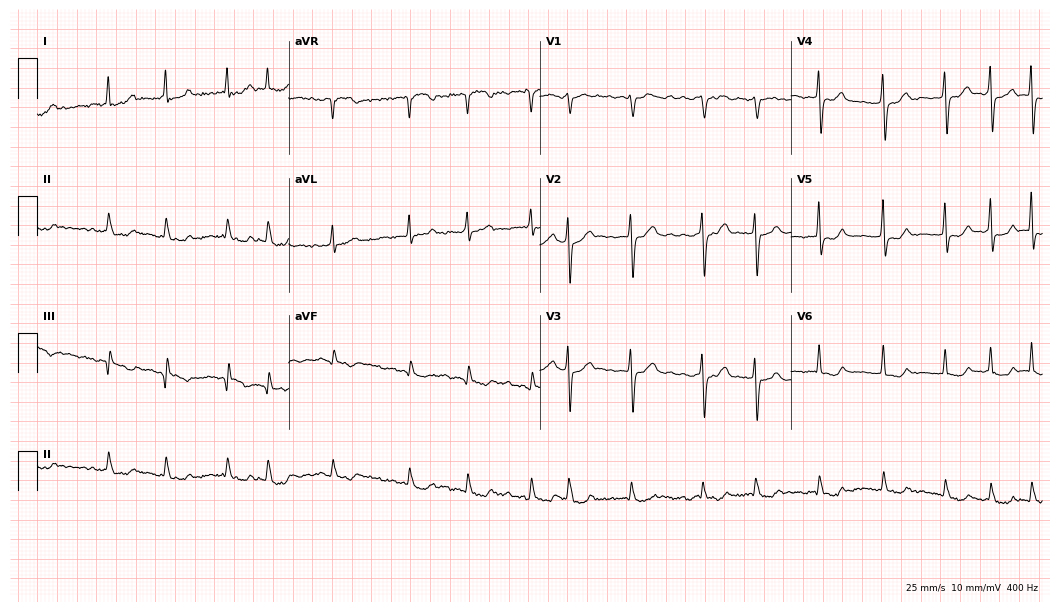
Resting 12-lead electrocardiogram (10.2-second recording at 400 Hz). Patient: a 60-year-old female. None of these six findings is recorded: first-degree AV block, right bundle branch block (RBBB), left bundle branch block (LBBB), sinus bradycardia, atrial fibrillation (AF), sinus tachycardia. Findings outside these six are not listed.